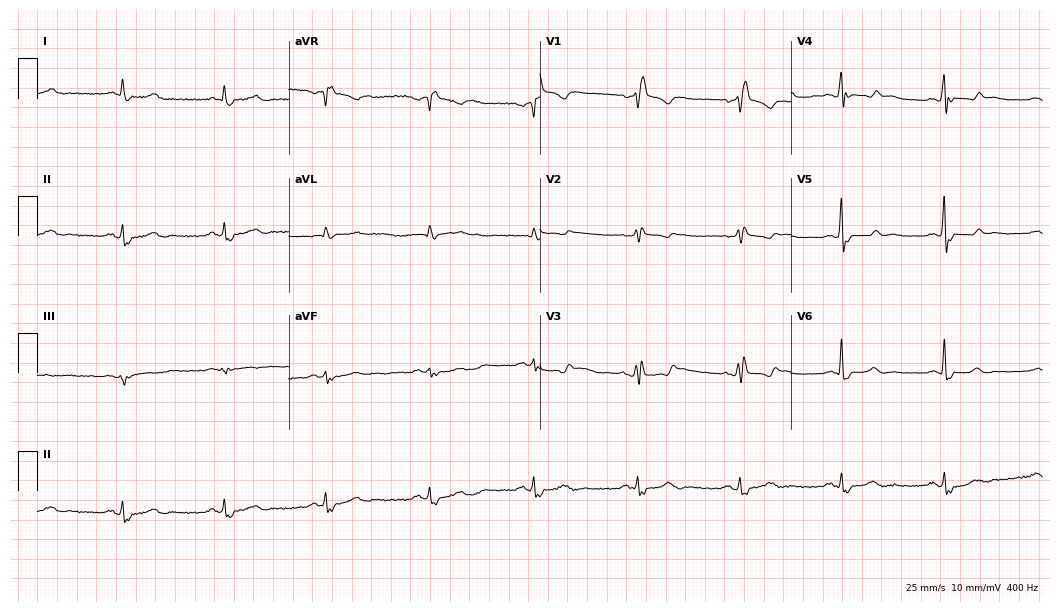
ECG (10.2-second recording at 400 Hz) — a male, 71 years old. Screened for six findings — first-degree AV block, right bundle branch block, left bundle branch block, sinus bradycardia, atrial fibrillation, sinus tachycardia — none is recorded. Findings outside these six are not listed.